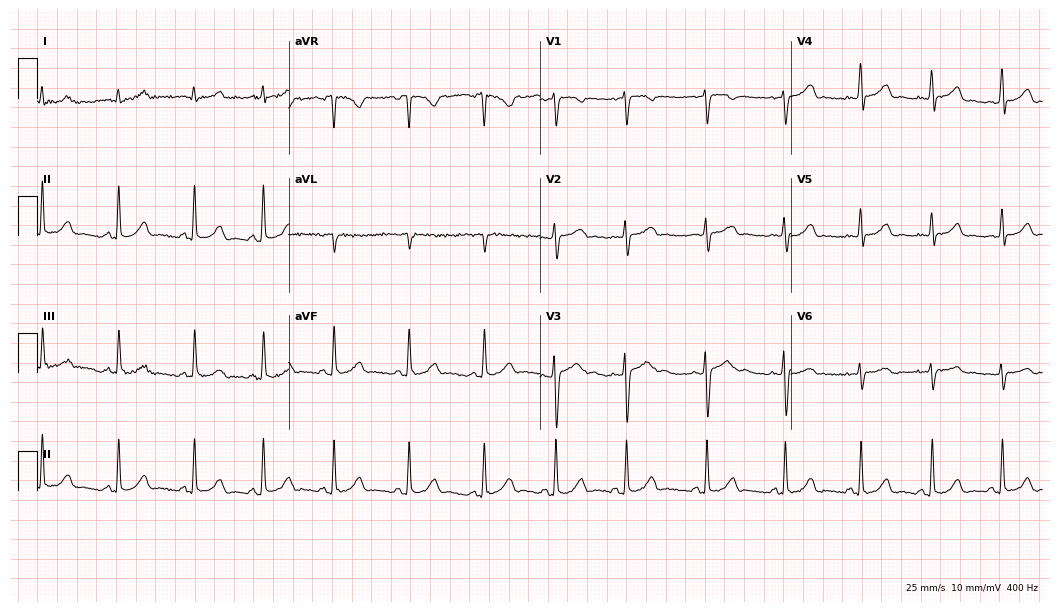
Standard 12-lead ECG recorded from a 17-year-old woman. None of these six findings is recorded: first-degree AV block, right bundle branch block (RBBB), left bundle branch block (LBBB), sinus bradycardia, atrial fibrillation (AF), sinus tachycardia.